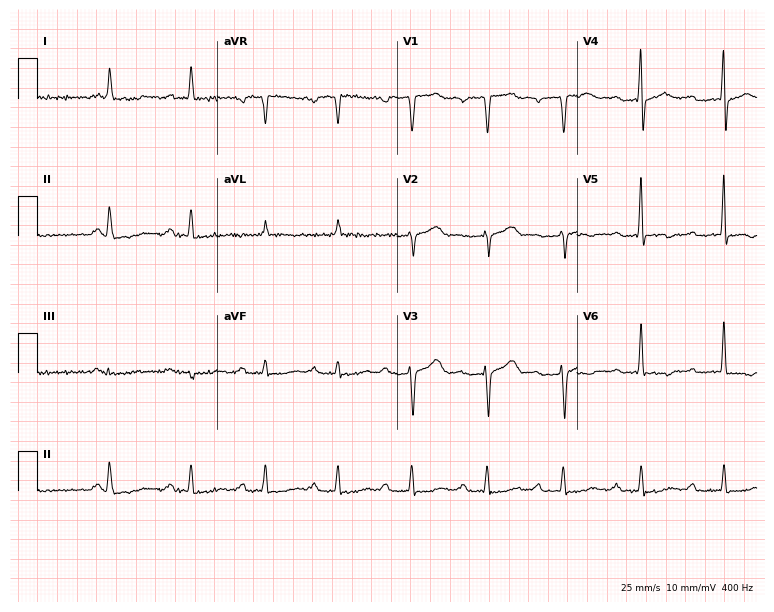
12-lead ECG from a male, 71 years old. Shows first-degree AV block.